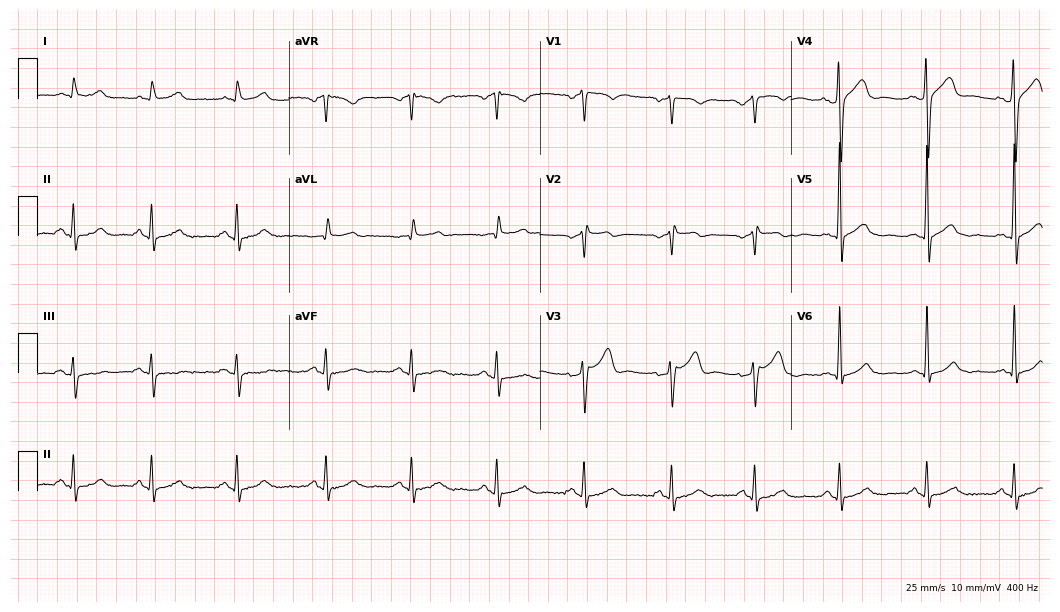
12-lead ECG (10.2-second recording at 400 Hz) from a man, 71 years old. Labelled as a normal ECG.